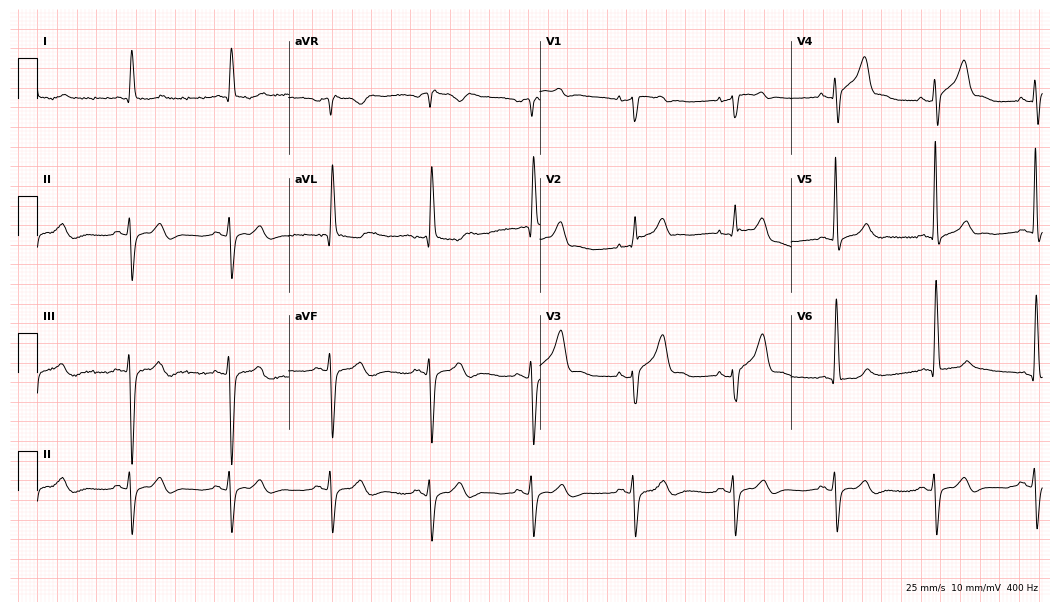
ECG (10.2-second recording at 400 Hz) — a male patient, 74 years old. Screened for six findings — first-degree AV block, right bundle branch block, left bundle branch block, sinus bradycardia, atrial fibrillation, sinus tachycardia — none is recorded. Only these six findings were labelled.